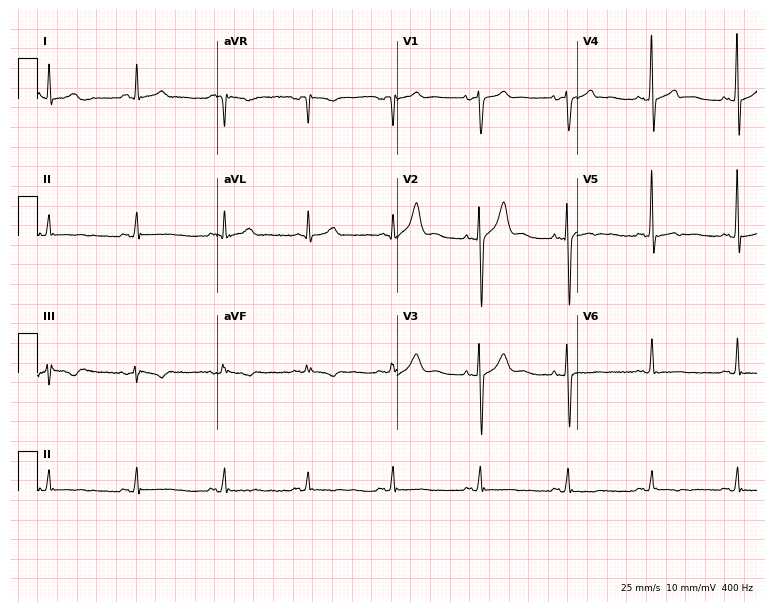
Resting 12-lead electrocardiogram. Patient: a 57-year-old man. Read as a normal ECG.